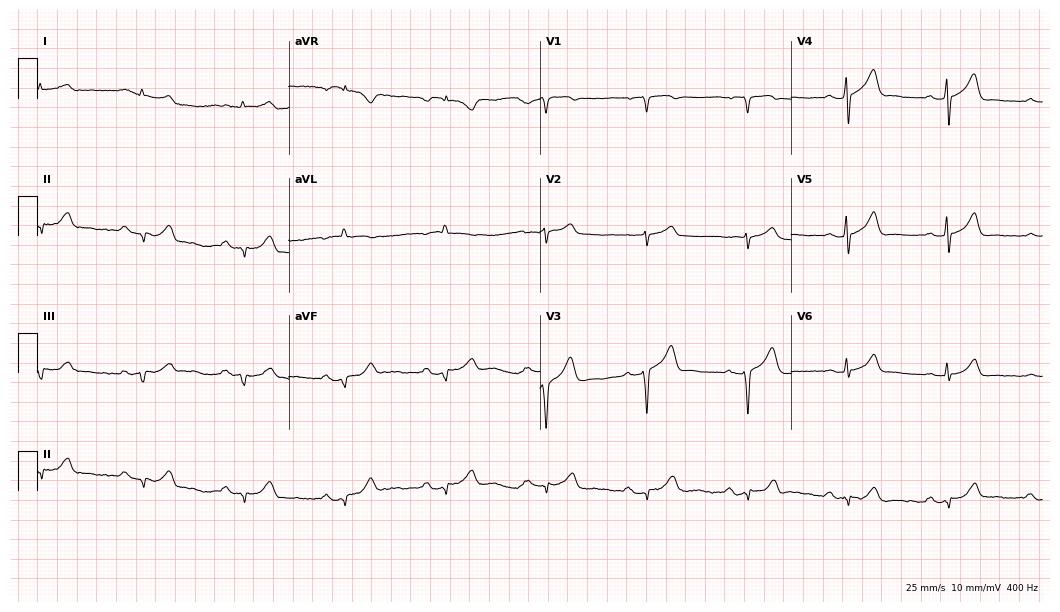
ECG (10.2-second recording at 400 Hz) — a man, 75 years old. Screened for six findings — first-degree AV block, right bundle branch block, left bundle branch block, sinus bradycardia, atrial fibrillation, sinus tachycardia — none is recorded. Only these six findings were labelled.